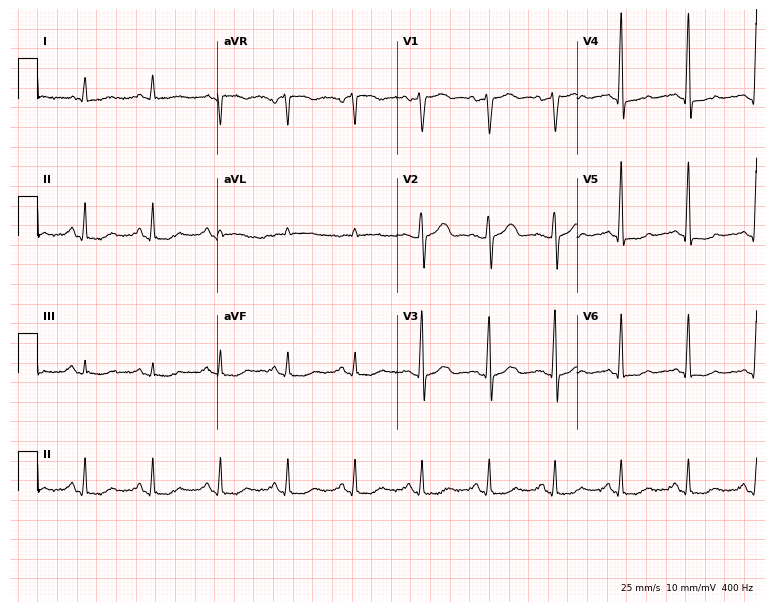
12-lead ECG from a 53-year-old man. No first-degree AV block, right bundle branch block, left bundle branch block, sinus bradycardia, atrial fibrillation or sinus tachycardia recorded for this tracing. Other findings, if any, are not listed.